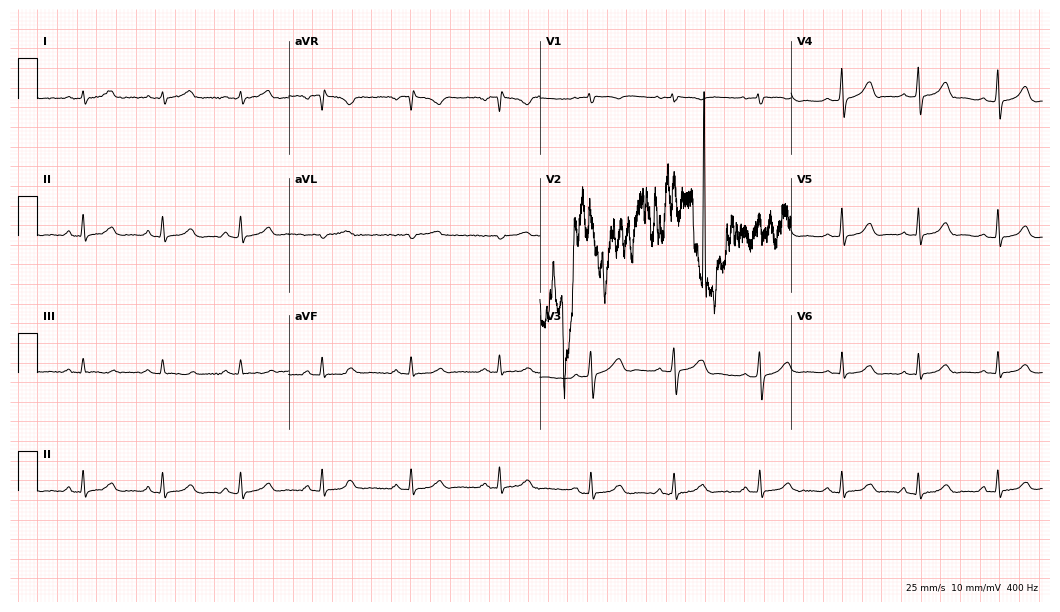
ECG — a 39-year-old female patient. Screened for six findings — first-degree AV block, right bundle branch block, left bundle branch block, sinus bradycardia, atrial fibrillation, sinus tachycardia — none is recorded.